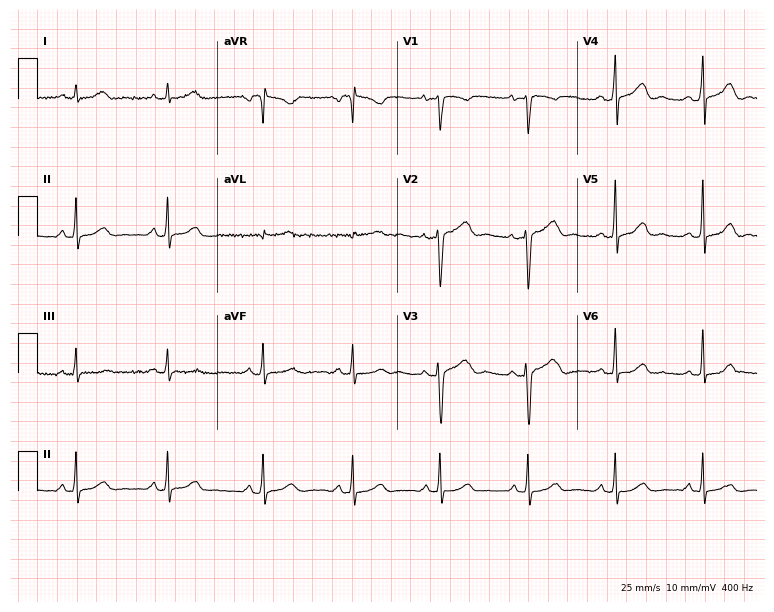
Electrocardiogram (7.3-second recording at 400 Hz), a 31-year-old woman. Overall reading on record: normal ECG.